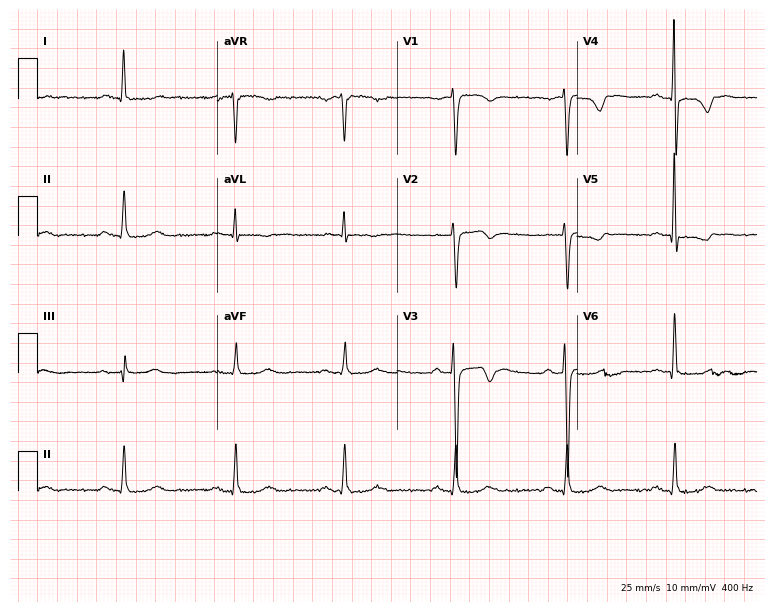
Standard 12-lead ECG recorded from a 48-year-old male patient (7.3-second recording at 400 Hz). None of these six findings is recorded: first-degree AV block, right bundle branch block (RBBB), left bundle branch block (LBBB), sinus bradycardia, atrial fibrillation (AF), sinus tachycardia.